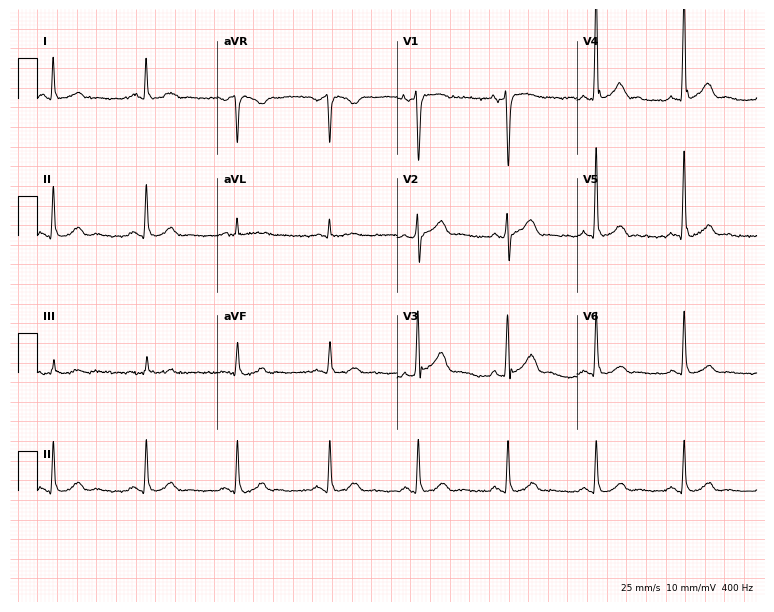
12-lead ECG from a 69-year-old man (7.3-second recording at 400 Hz). Recorded interpretation: within normal limits.